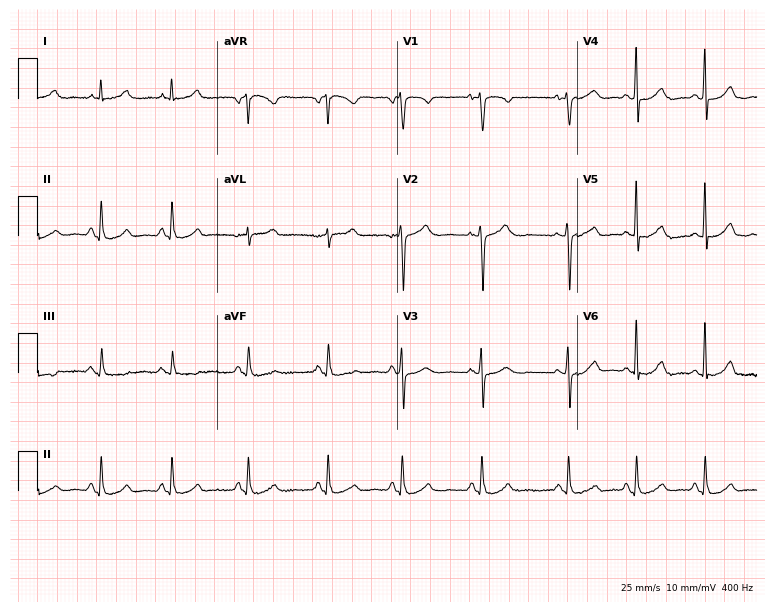
12-lead ECG (7.3-second recording at 400 Hz) from a woman, 59 years old. Screened for six findings — first-degree AV block, right bundle branch block, left bundle branch block, sinus bradycardia, atrial fibrillation, sinus tachycardia — none is recorded. Findings outside these six are not listed.